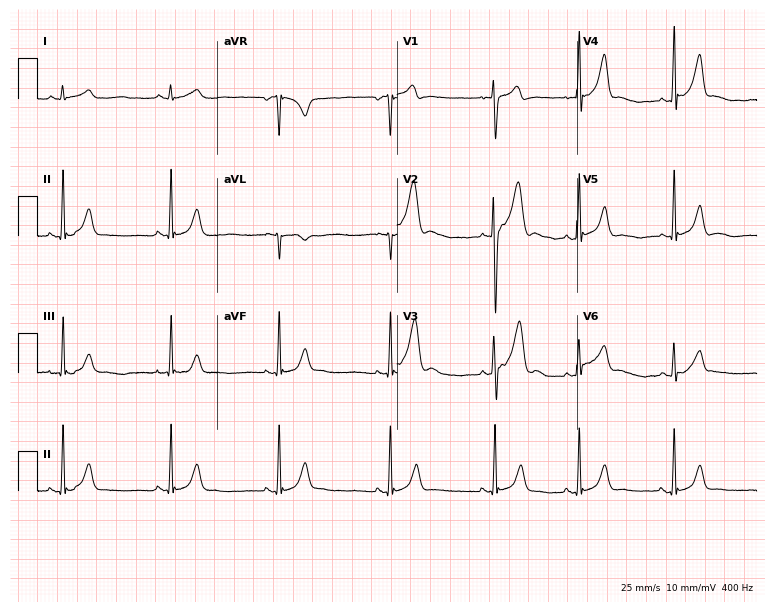
12-lead ECG (7.3-second recording at 400 Hz) from a man, 24 years old. Screened for six findings — first-degree AV block, right bundle branch block (RBBB), left bundle branch block (LBBB), sinus bradycardia, atrial fibrillation (AF), sinus tachycardia — none is recorded.